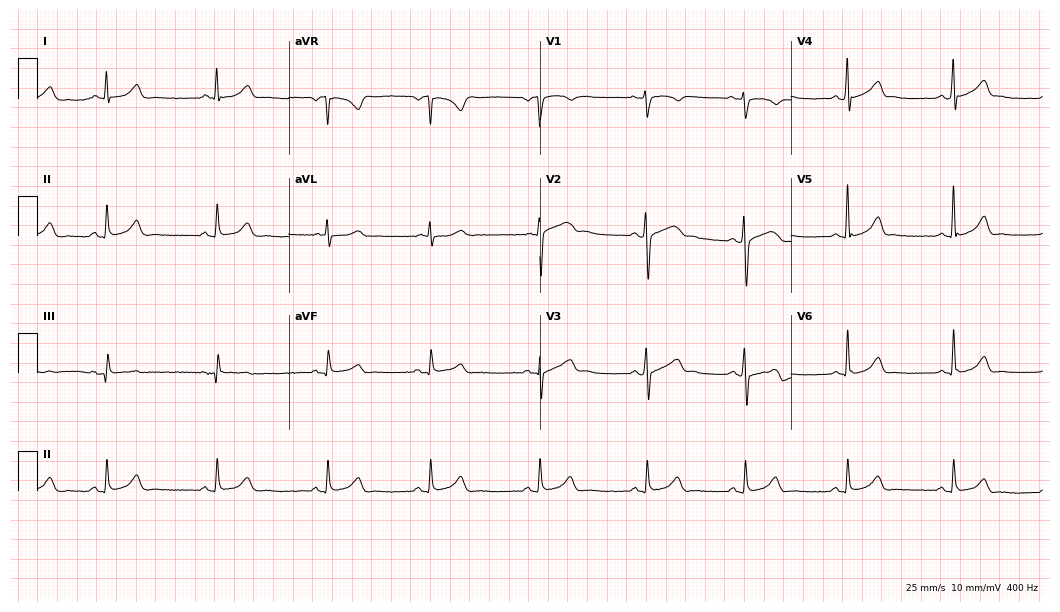
Electrocardiogram, a male patient, 32 years old. Overall reading on record: normal ECG.